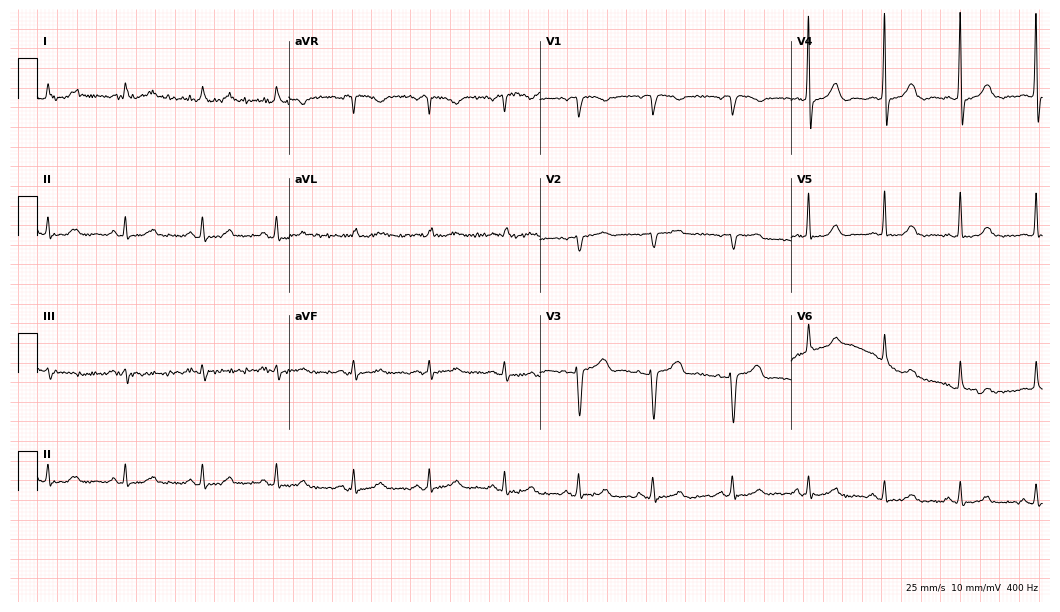
ECG (10.2-second recording at 400 Hz) — an 84-year-old female patient. Screened for six findings — first-degree AV block, right bundle branch block, left bundle branch block, sinus bradycardia, atrial fibrillation, sinus tachycardia — none is recorded. Findings outside these six are not listed.